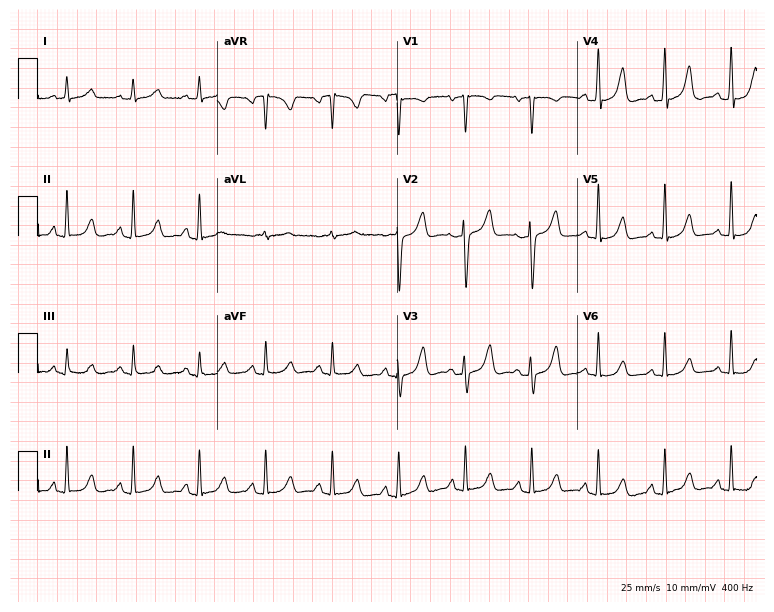
ECG — a 79-year-old female patient. Screened for six findings — first-degree AV block, right bundle branch block (RBBB), left bundle branch block (LBBB), sinus bradycardia, atrial fibrillation (AF), sinus tachycardia — none is recorded.